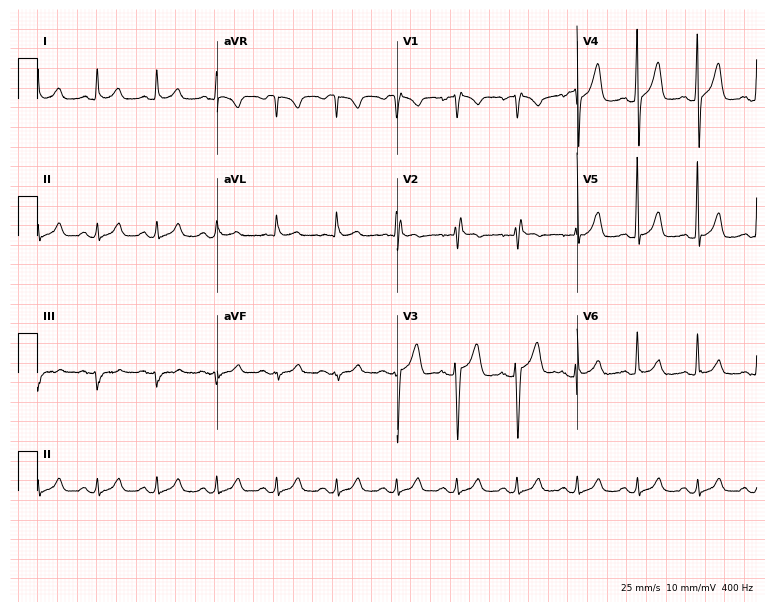
Resting 12-lead electrocardiogram (7.3-second recording at 400 Hz). Patient: a 46-year-old male. Read as a normal ECG.